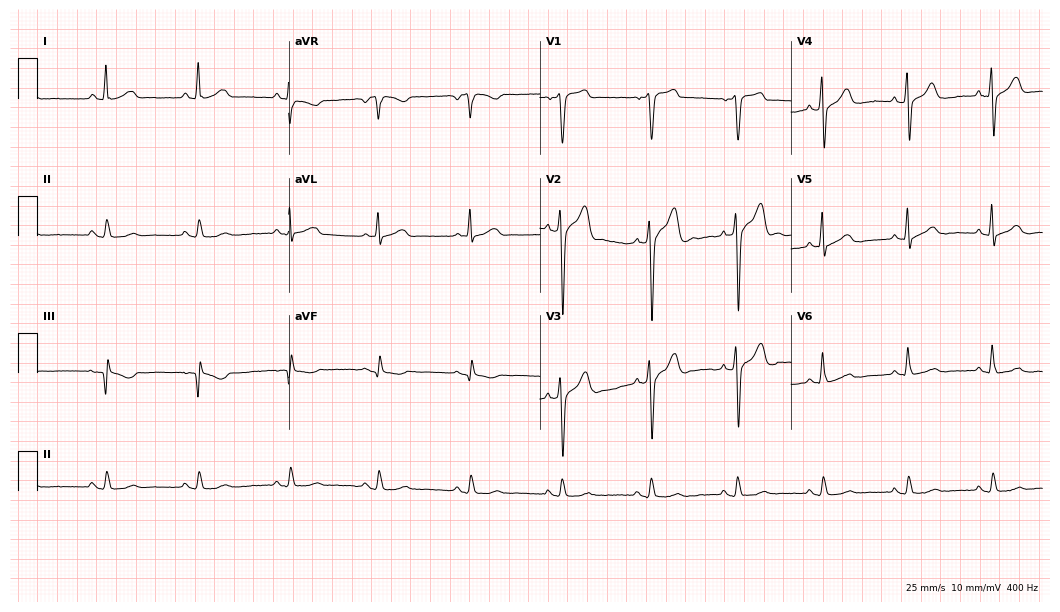
Standard 12-lead ECG recorded from a male, 56 years old (10.2-second recording at 400 Hz). Read as a normal ECG.